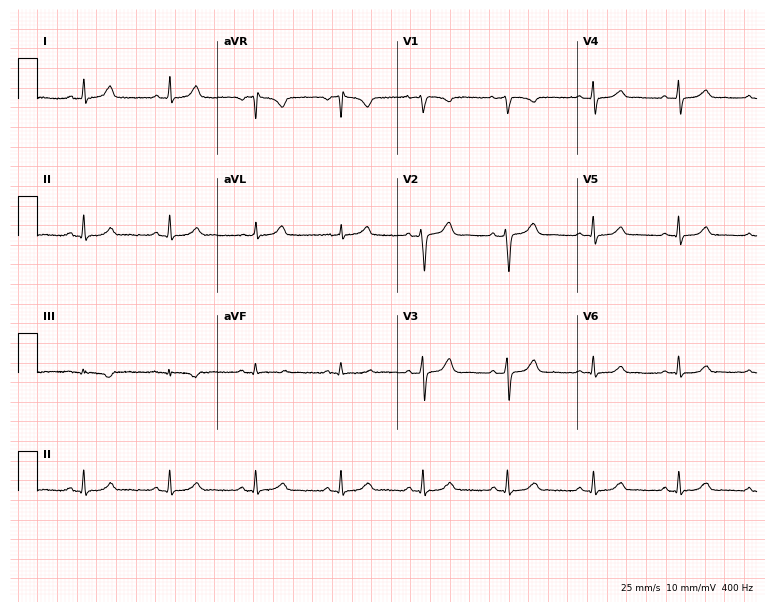
Resting 12-lead electrocardiogram. Patient: a 40-year-old female. Read as a normal ECG.